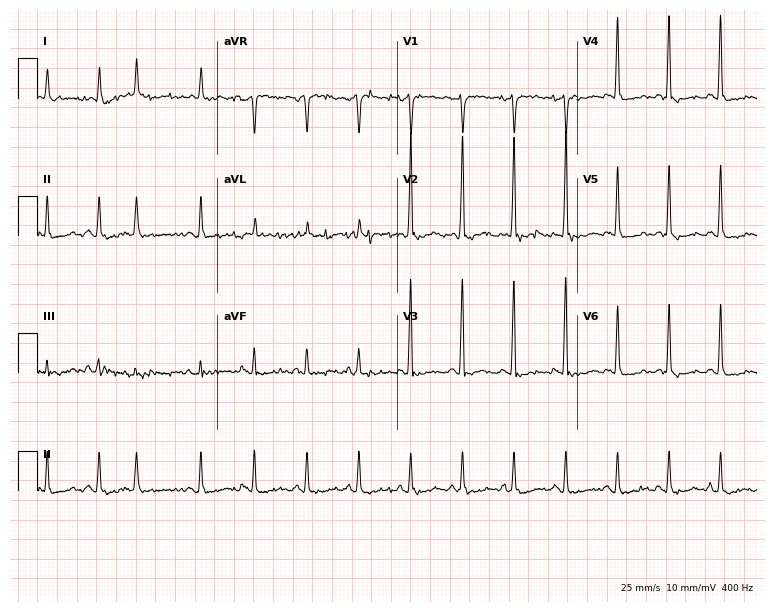
Electrocardiogram (7.3-second recording at 400 Hz), a 78-year-old female patient. Of the six screened findings (first-degree AV block, right bundle branch block, left bundle branch block, sinus bradycardia, atrial fibrillation, sinus tachycardia), none is recorded.